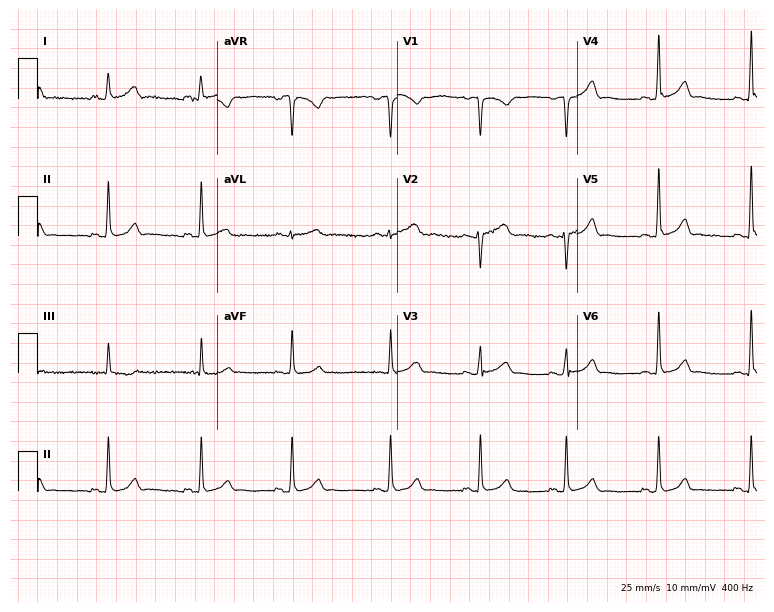
Resting 12-lead electrocardiogram (7.3-second recording at 400 Hz). Patient: a 34-year-old woman. Read as a normal ECG.